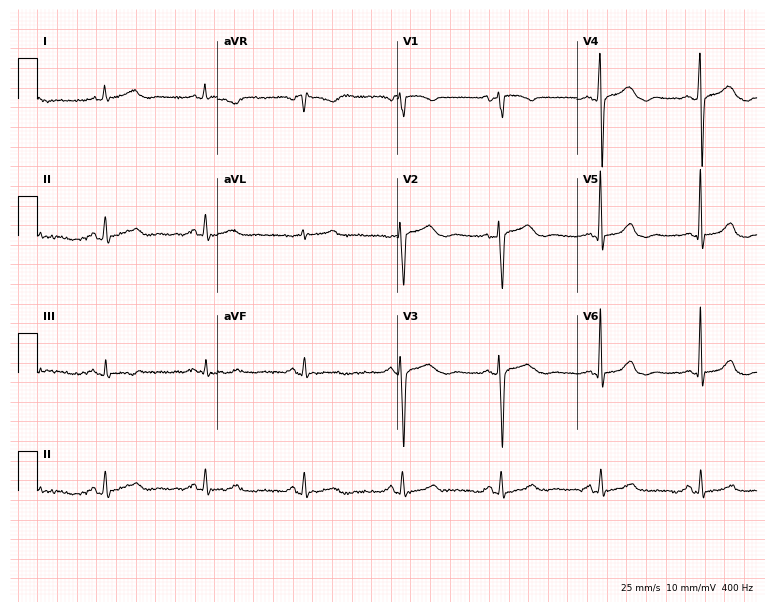
Resting 12-lead electrocardiogram. Patient: a female, 72 years old. Read as a normal ECG.